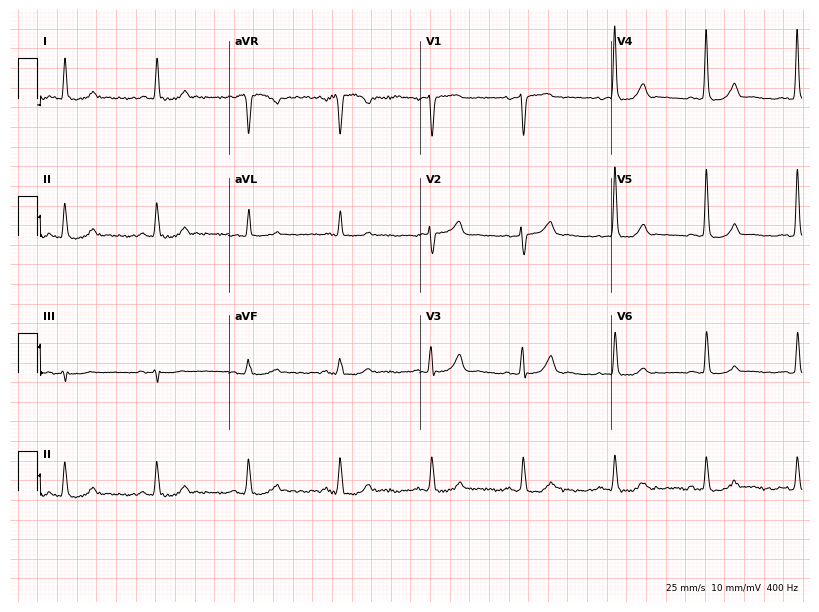
12-lead ECG from a 73-year-old female (7.8-second recording at 400 Hz). Recorded interpretation: within normal limits.